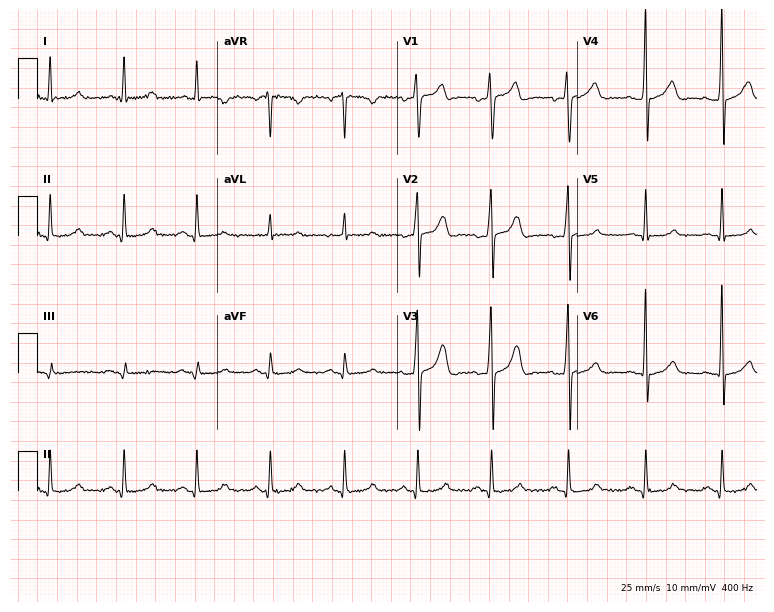
Resting 12-lead electrocardiogram (7.3-second recording at 400 Hz). Patient: a 50-year-old man. Read as a normal ECG.